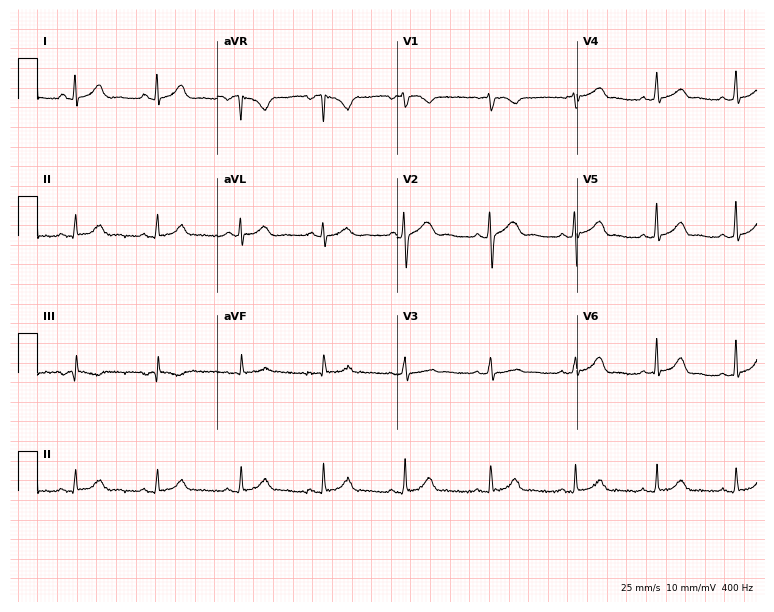
ECG — a 22-year-old female patient. Labelled as a normal ECG.